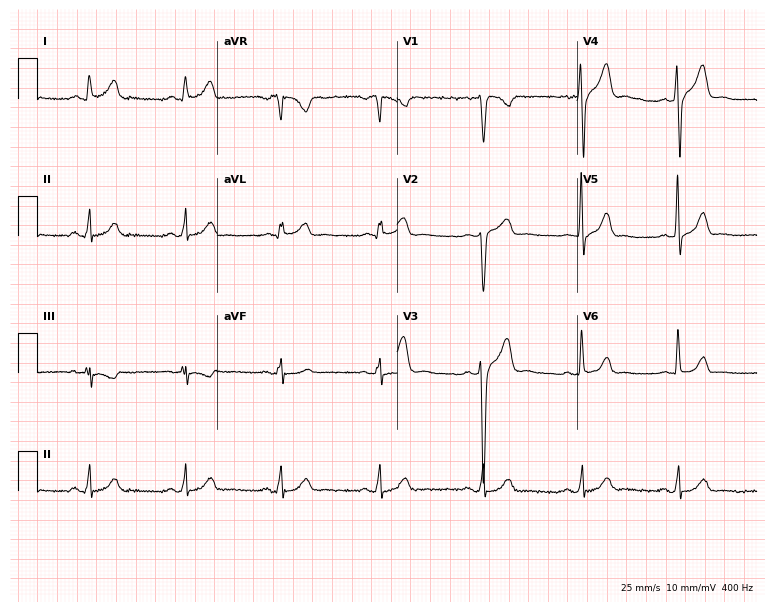
12-lead ECG (7.3-second recording at 400 Hz) from a 30-year-old male. Labelled as a normal ECG.